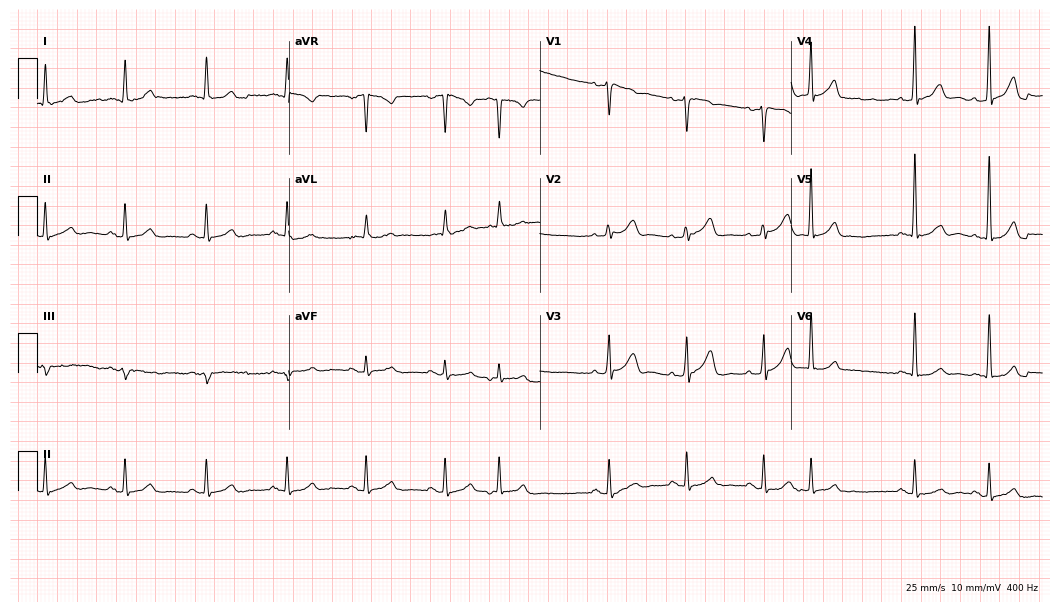
Electrocardiogram, a 63-year-old female patient. Overall reading on record: normal ECG.